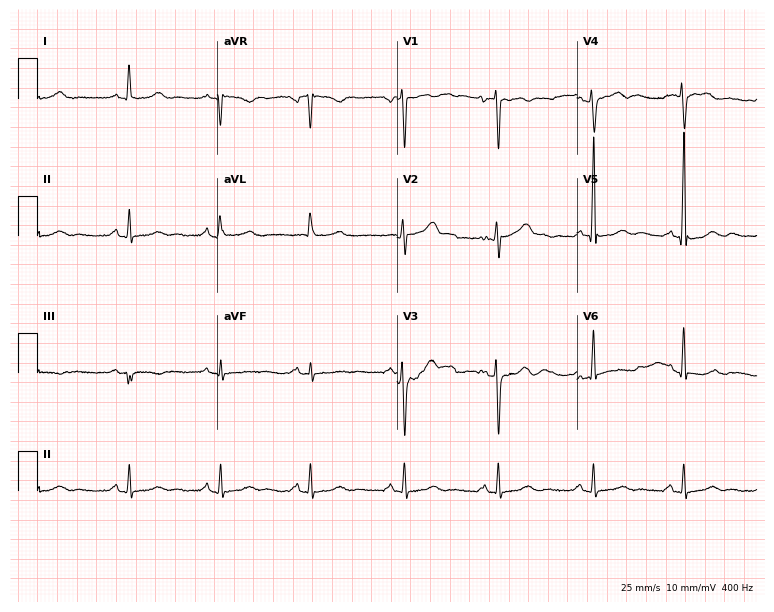
ECG (7.3-second recording at 400 Hz) — a 61-year-old female. Screened for six findings — first-degree AV block, right bundle branch block, left bundle branch block, sinus bradycardia, atrial fibrillation, sinus tachycardia — none is recorded.